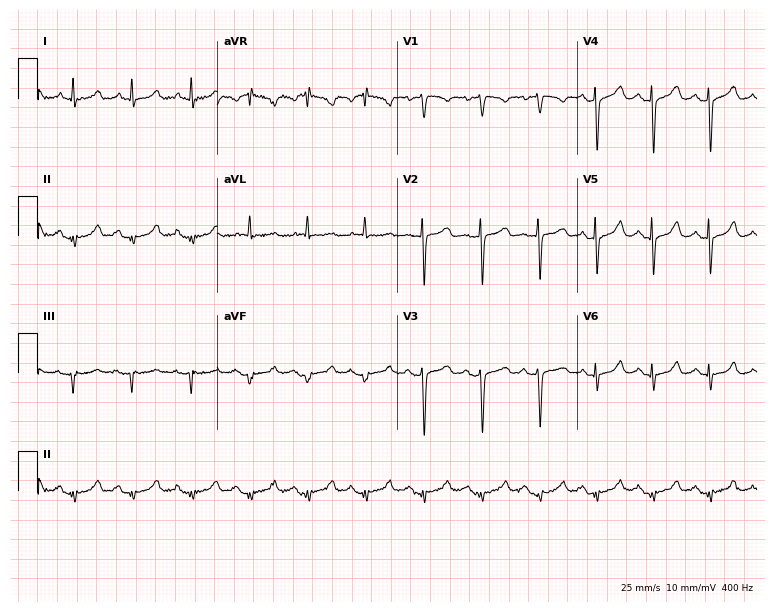
Resting 12-lead electrocardiogram. Patient: a 64-year-old female. The tracing shows sinus tachycardia (a sinus rate of 100 beats per minute or more).